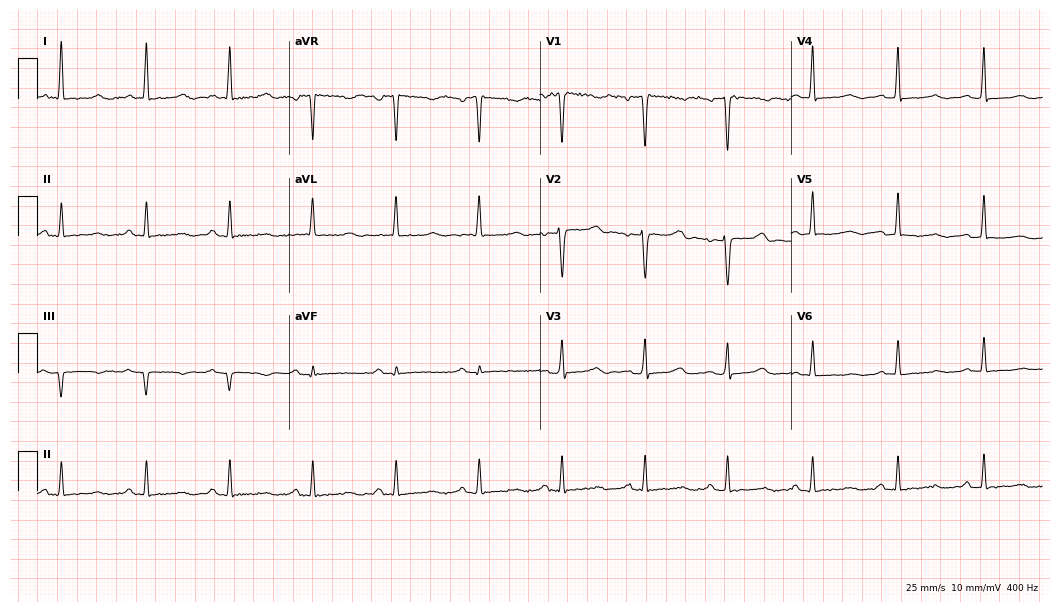
ECG — a 40-year-old female patient. Screened for six findings — first-degree AV block, right bundle branch block (RBBB), left bundle branch block (LBBB), sinus bradycardia, atrial fibrillation (AF), sinus tachycardia — none is recorded.